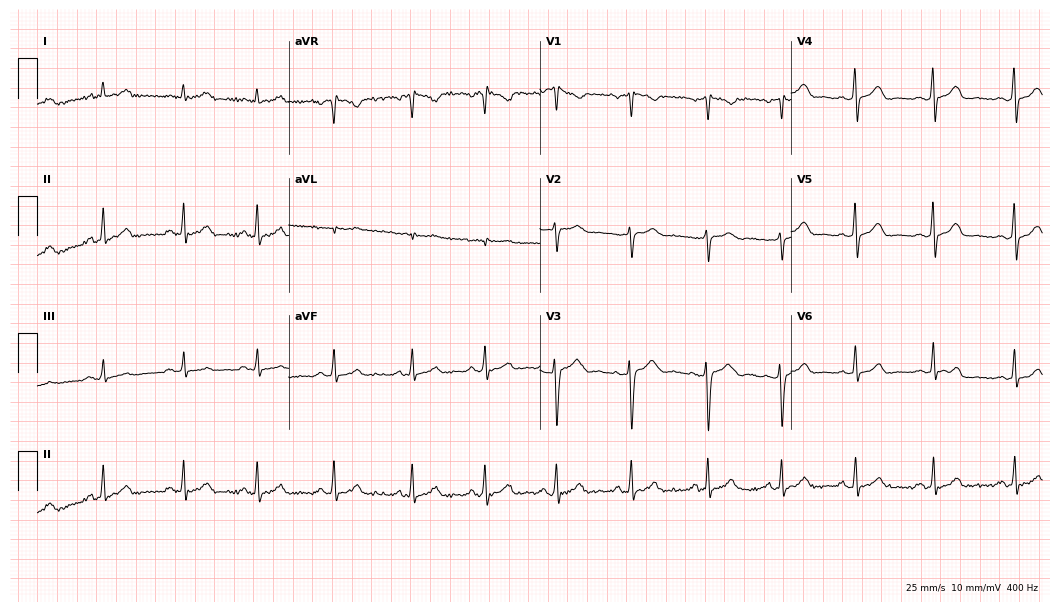
Electrocardiogram (10.2-second recording at 400 Hz), a woman, 30 years old. Of the six screened findings (first-degree AV block, right bundle branch block (RBBB), left bundle branch block (LBBB), sinus bradycardia, atrial fibrillation (AF), sinus tachycardia), none is recorded. Other findings, if any, are not listed.